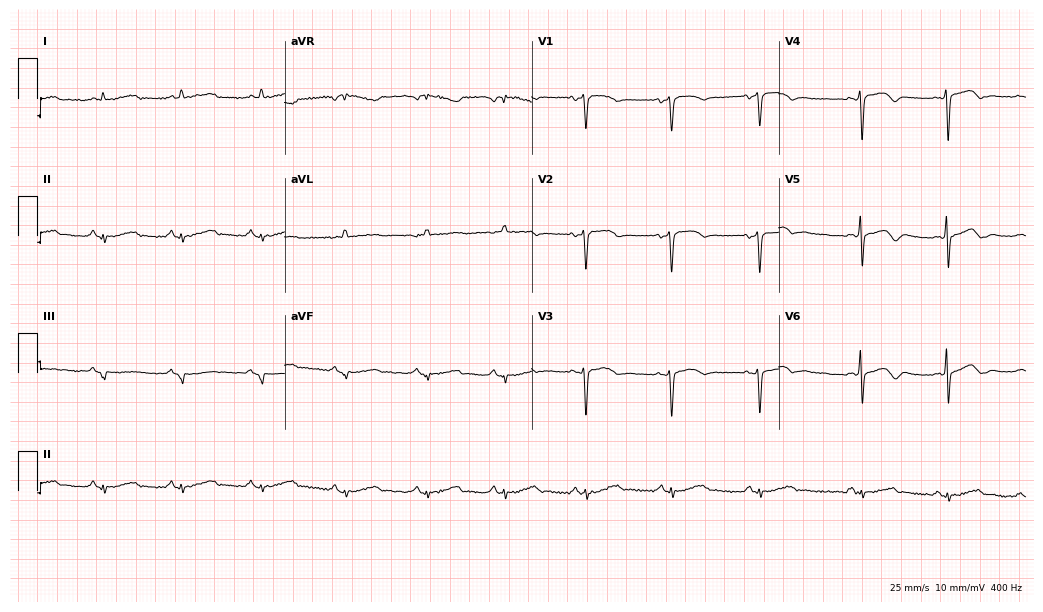
Resting 12-lead electrocardiogram (10.1-second recording at 400 Hz). Patient: a 45-year-old woman. None of these six findings is recorded: first-degree AV block, right bundle branch block, left bundle branch block, sinus bradycardia, atrial fibrillation, sinus tachycardia. Other findings, if any, are not listed.